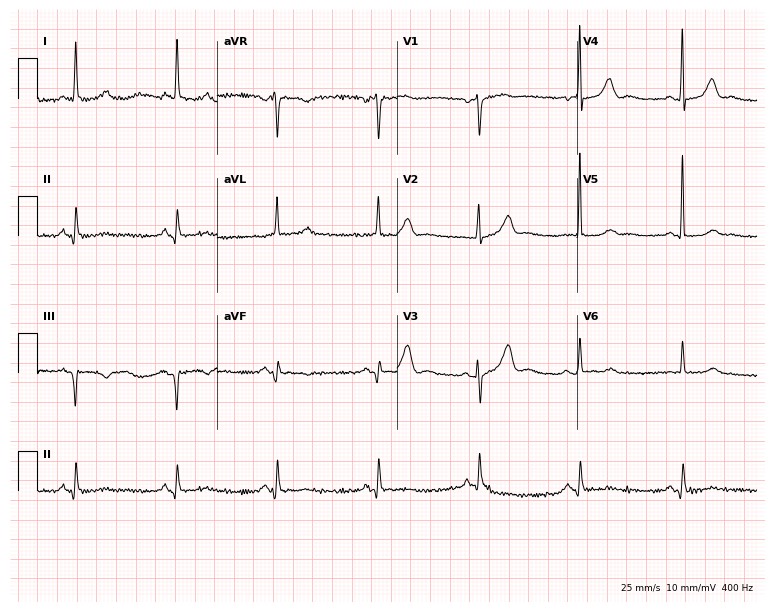
Resting 12-lead electrocardiogram (7.3-second recording at 400 Hz). Patient: a female, 78 years old. None of these six findings is recorded: first-degree AV block, right bundle branch block, left bundle branch block, sinus bradycardia, atrial fibrillation, sinus tachycardia. Findings outside these six are not listed.